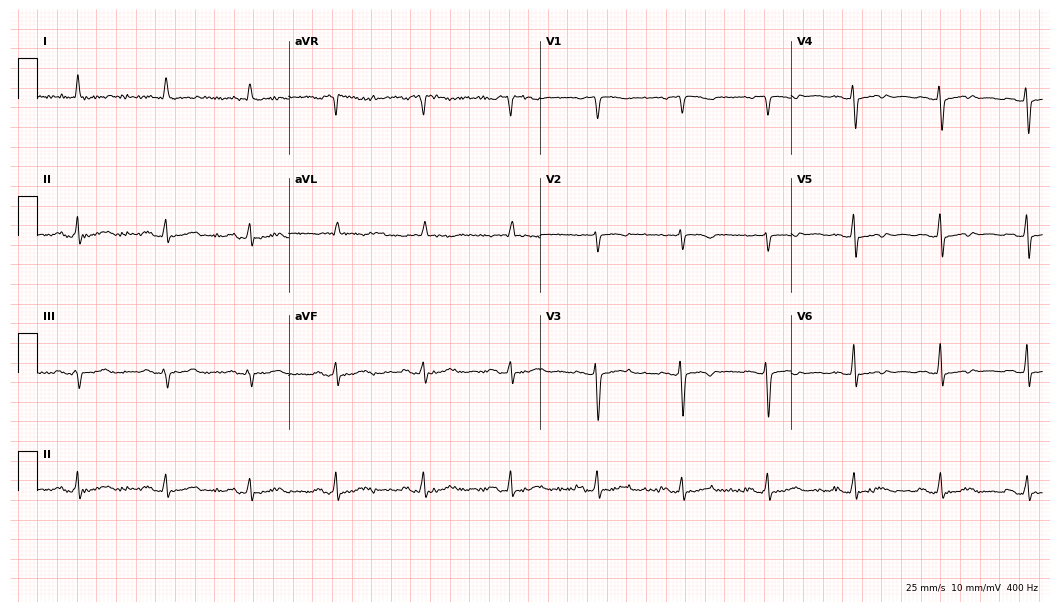
Resting 12-lead electrocardiogram. Patient: a 78-year-old female. None of these six findings is recorded: first-degree AV block, right bundle branch block, left bundle branch block, sinus bradycardia, atrial fibrillation, sinus tachycardia.